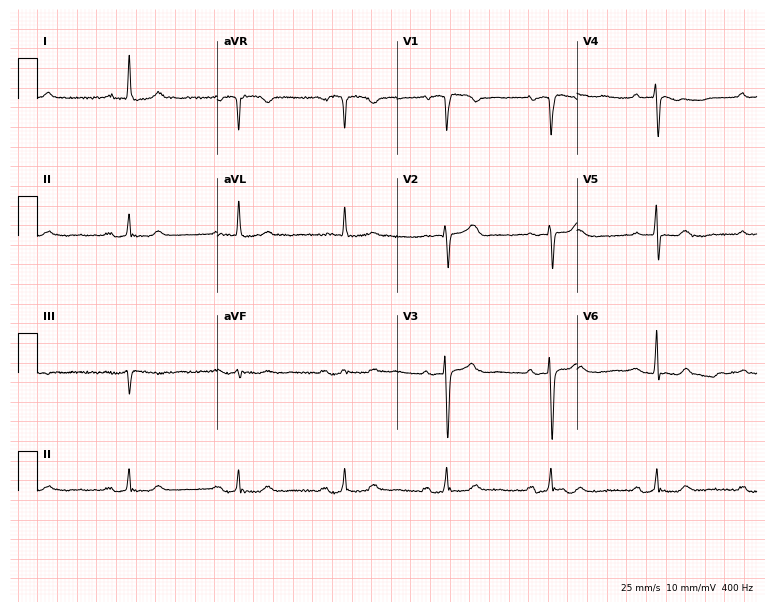
Standard 12-lead ECG recorded from a 75-year-old female. The tracing shows first-degree AV block.